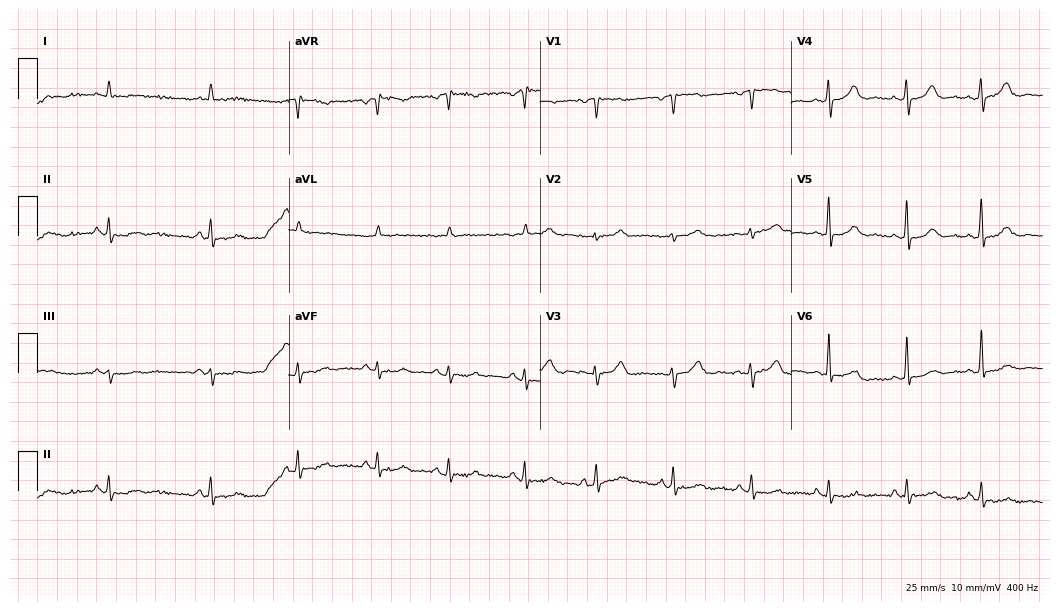
Electrocardiogram (10.2-second recording at 400 Hz), an 81-year-old male. Of the six screened findings (first-degree AV block, right bundle branch block (RBBB), left bundle branch block (LBBB), sinus bradycardia, atrial fibrillation (AF), sinus tachycardia), none is recorded.